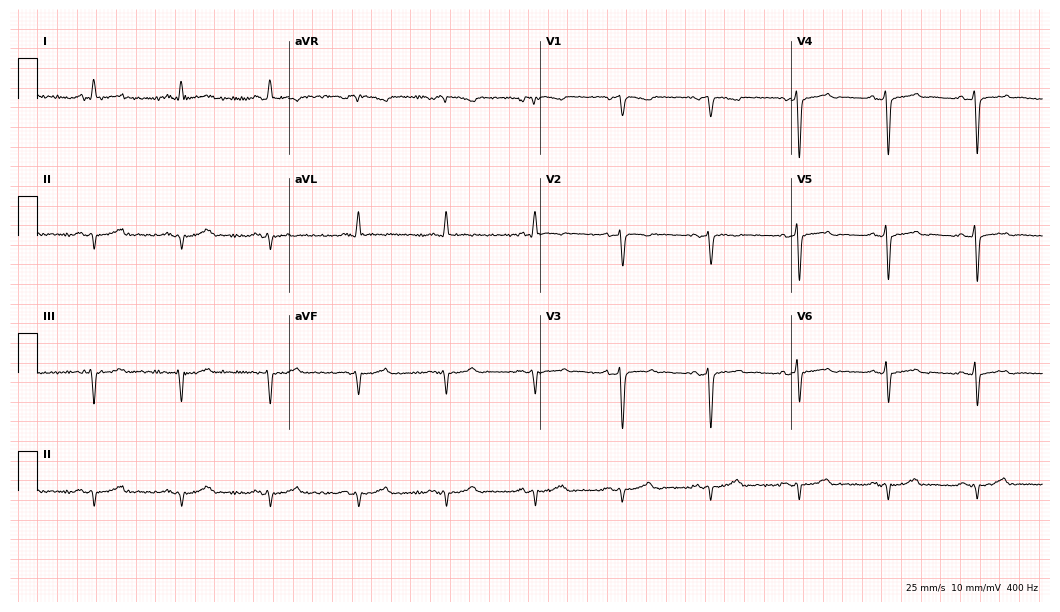
12-lead ECG (10.2-second recording at 400 Hz) from a 47-year-old man. Screened for six findings — first-degree AV block, right bundle branch block, left bundle branch block, sinus bradycardia, atrial fibrillation, sinus tachycardia — none is recorded.